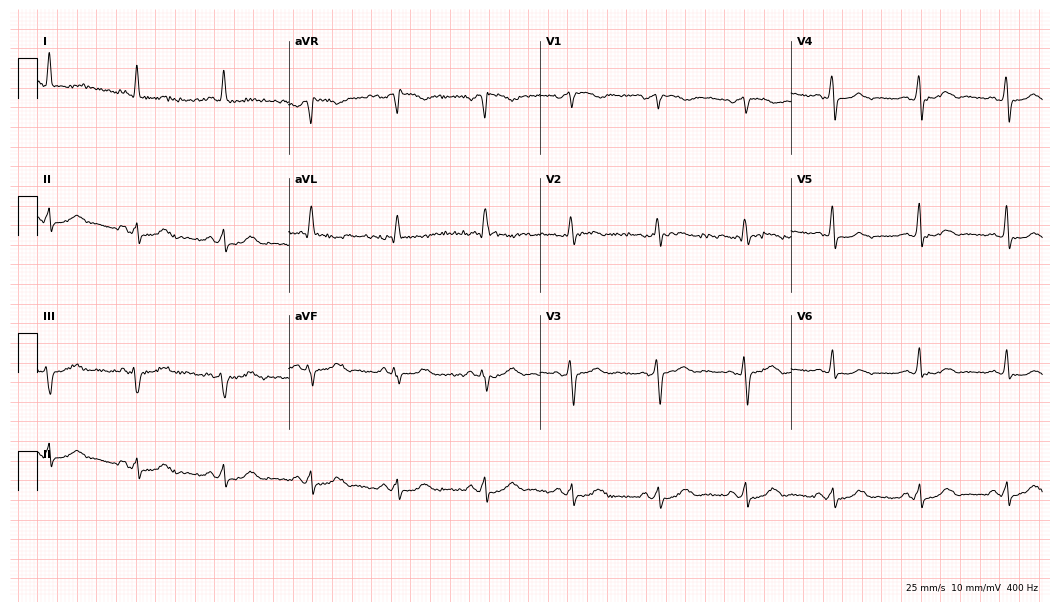
Standard 12-lead ECG recorded from a 76-year-old woman. None of these six findings is recorded: first-degree AV block, right bundle branch block (RBBB), left bundle branch block (LBBB), sinus bradycardia, atrial fibrillation (AF), sinus tachycardia.